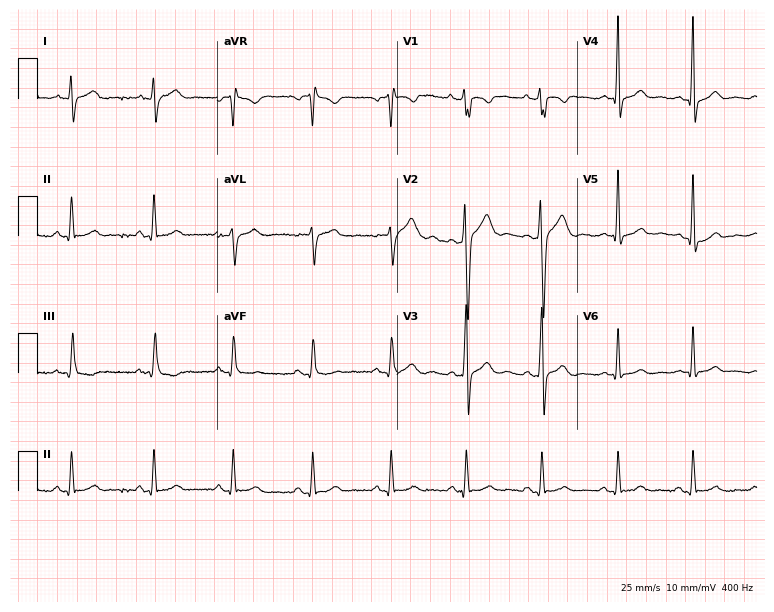
12-lead ECG from a 28-year-old male (7.3-second recording at 400 Hz). Recorded interpretation: within normal limits.